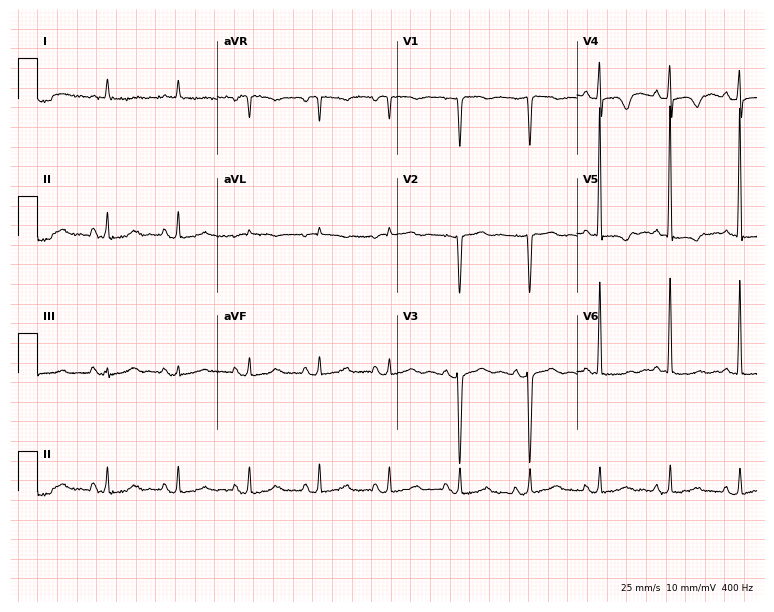
12-lead ECG from a female, 74 years old. No first-degree AV block, right bundle branch block, left bundle branch block, sinus bradycardia, atrial fibrillation or sinus tachycardia recorded for this tracing. Findings outside these six are not listed.